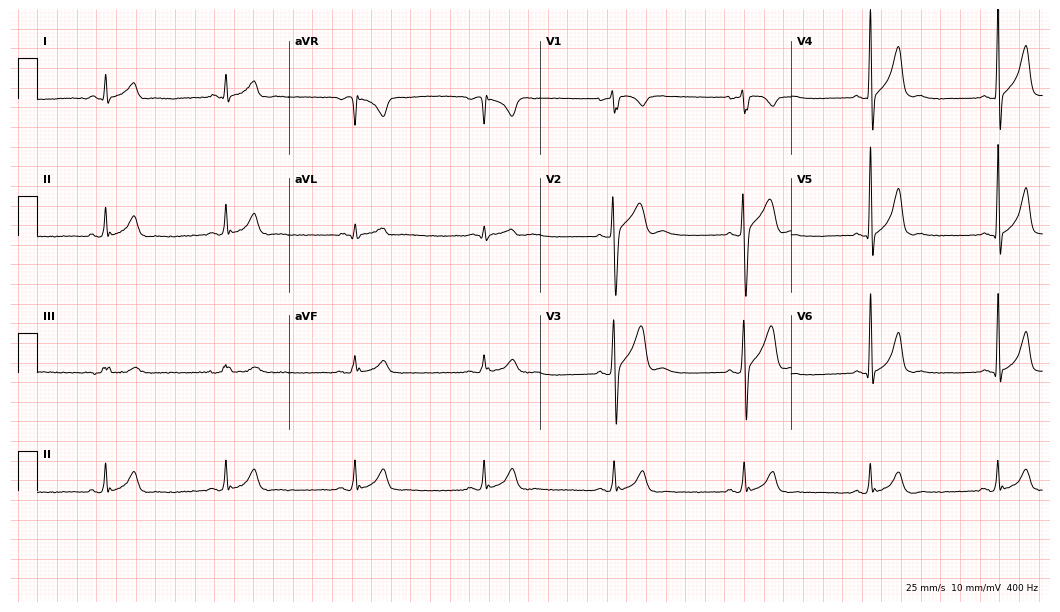
Electrocardiogram, a 22-year-old man. Interpretation includes sinus bradycardia (a sinus rate of 50 beats per minute or less).